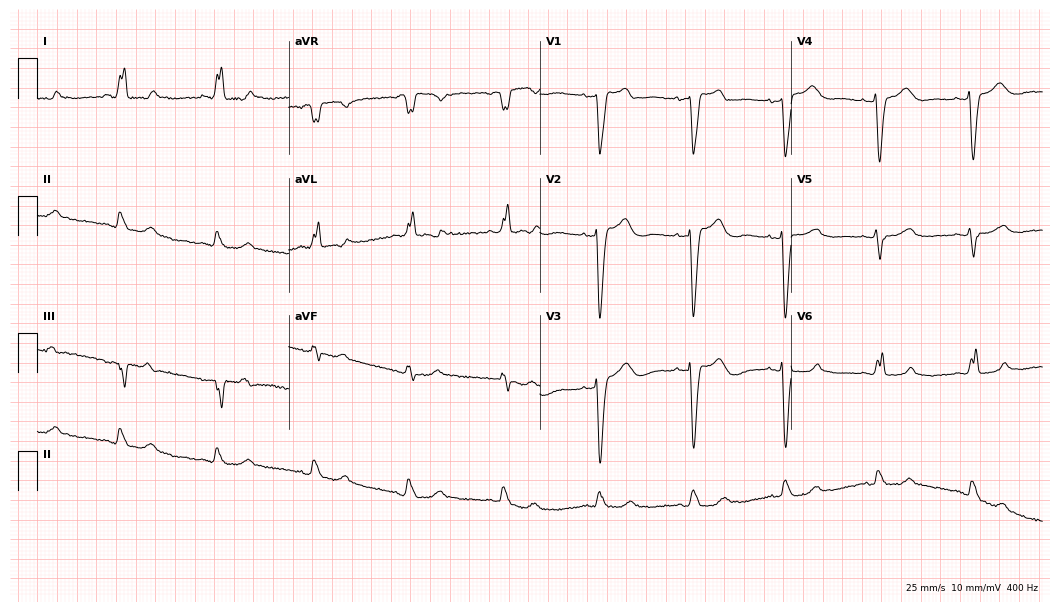
Resting 12-lead electrocardiogram. Patient: a female, 72 years old. The tracing shows left bundle branch block (LBBB).